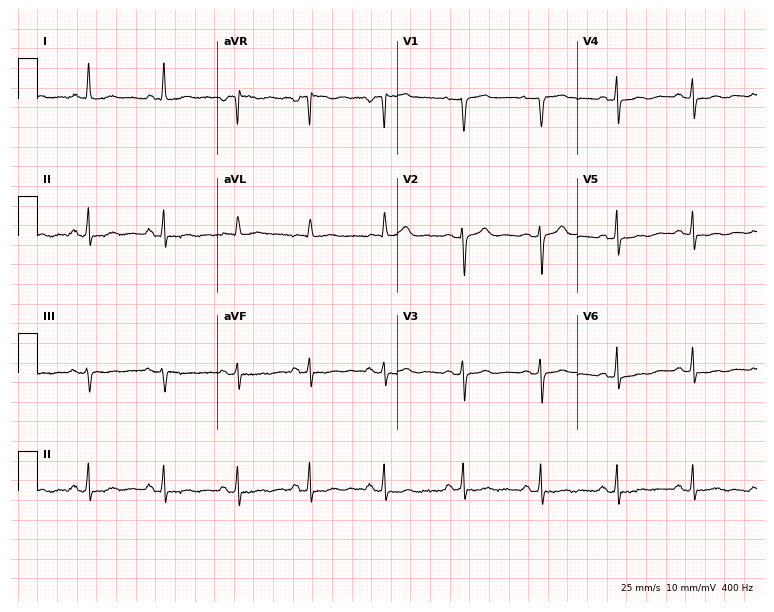
12-lead ECG from a 58-year-old woman. No first-degree AV block, right bundle branch block (RBBB), left bundle branch block (LBBB), sinus bradycardia, atrial fibrillation (AF) or sinus tachycardia recorded for this tracing.